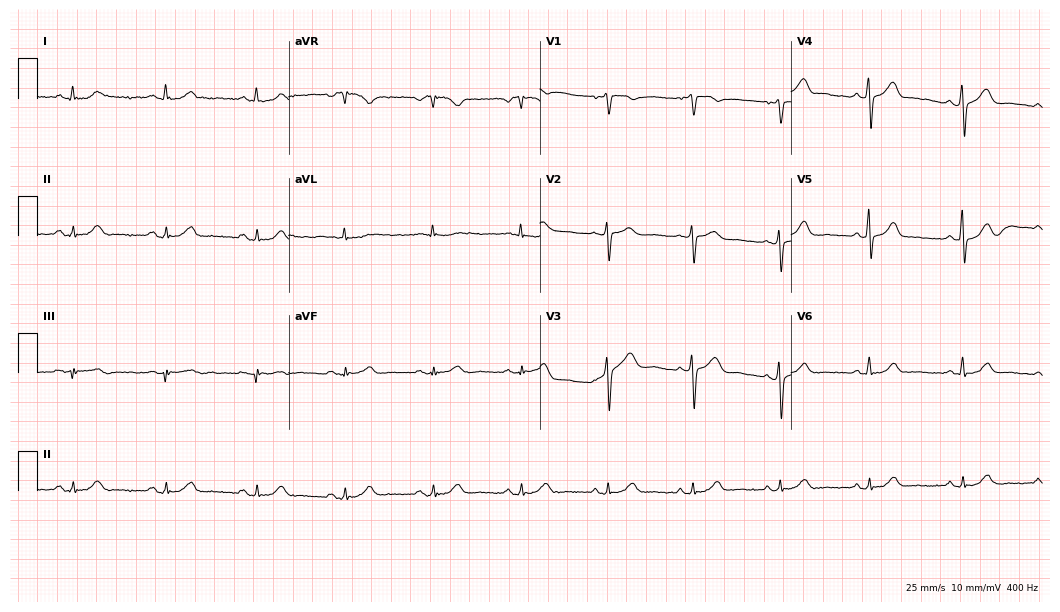
ECG — a 64-year-old male patient. Labelled as a normal ECG.